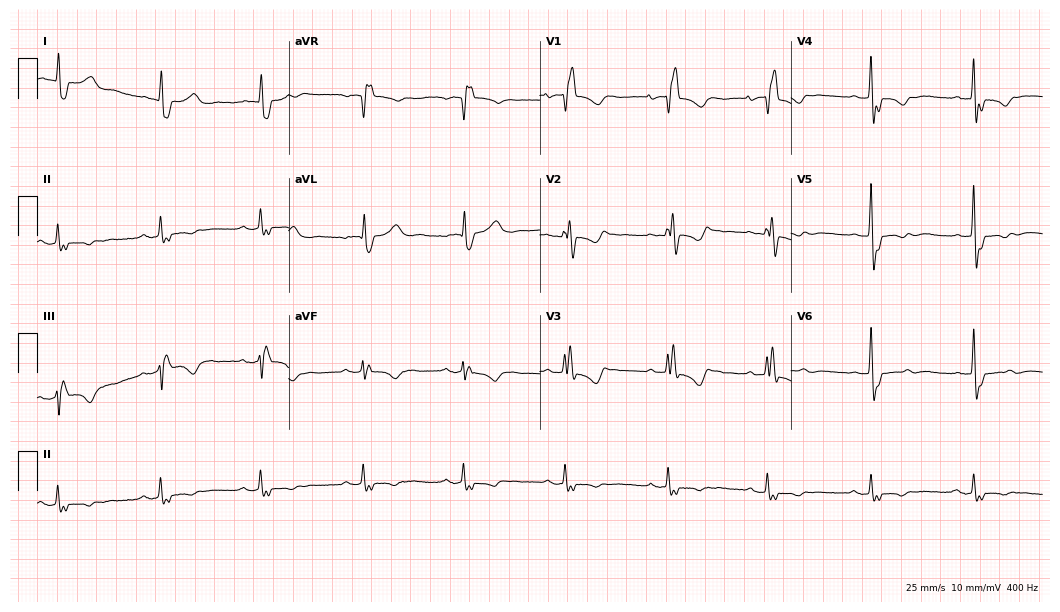
Standard 12-lead ECG recorded from a woman, 83 years old. The tracing shows right bundle branch block (RBBB).